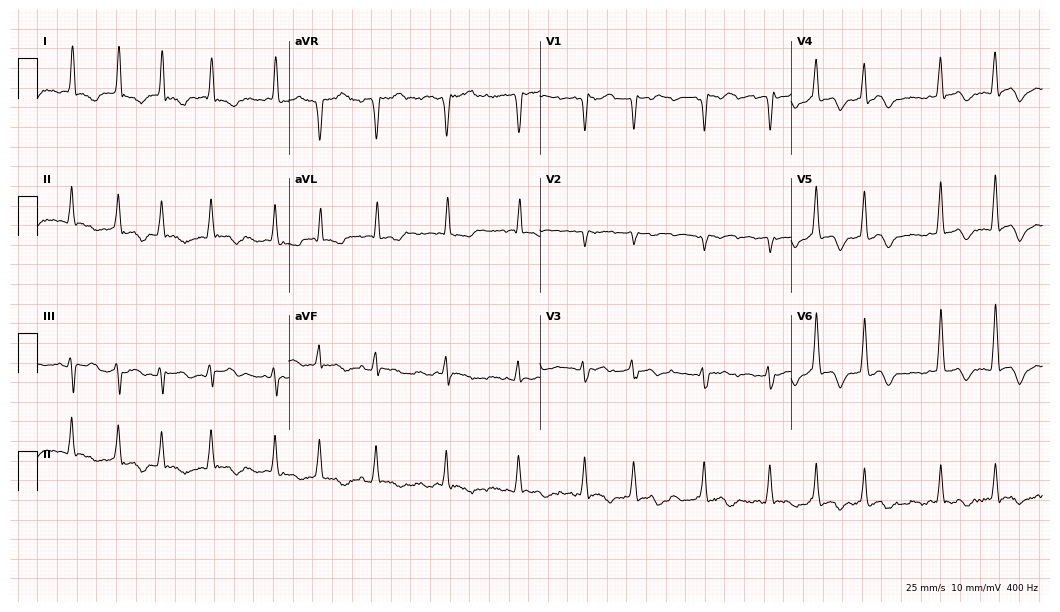
Electrocardiogram (10.2-second recording at 400 Hz), a 74-year-old female patient. Interpretation includes atrial fibrillation.